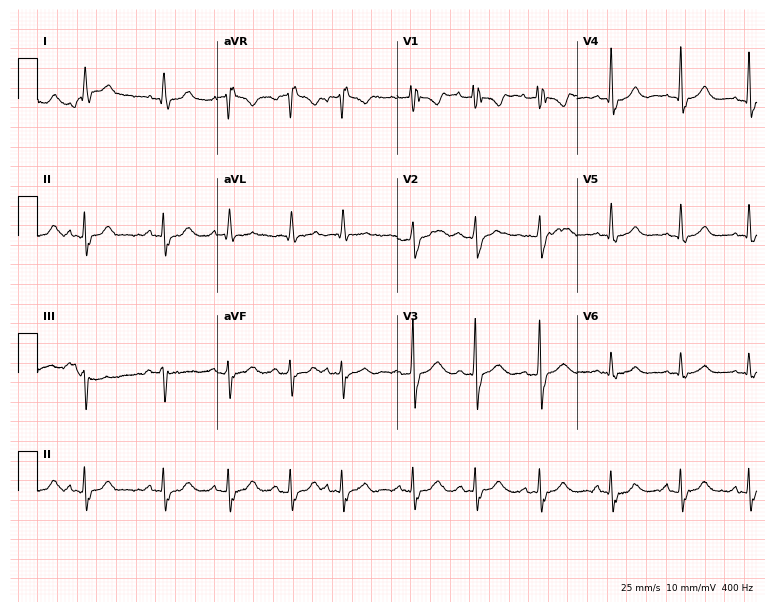
12-lead ECG from a 70-year-old female. Findings include right bundle branch block.